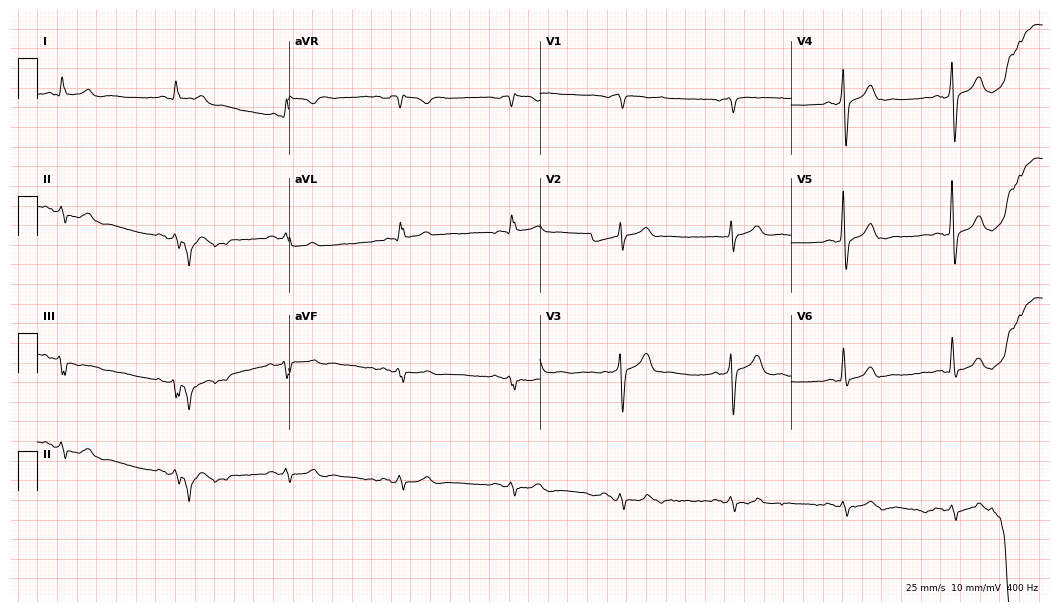
12-lead ECG (10.2-second recording at 400 Hz) from a man, 68 years old. Screened for six findings — first-degree AV block, right bundle branch block, left bundle branch block, sinus bradycardia, atrial fibrillation, sinus tachycardia — none is recorded.